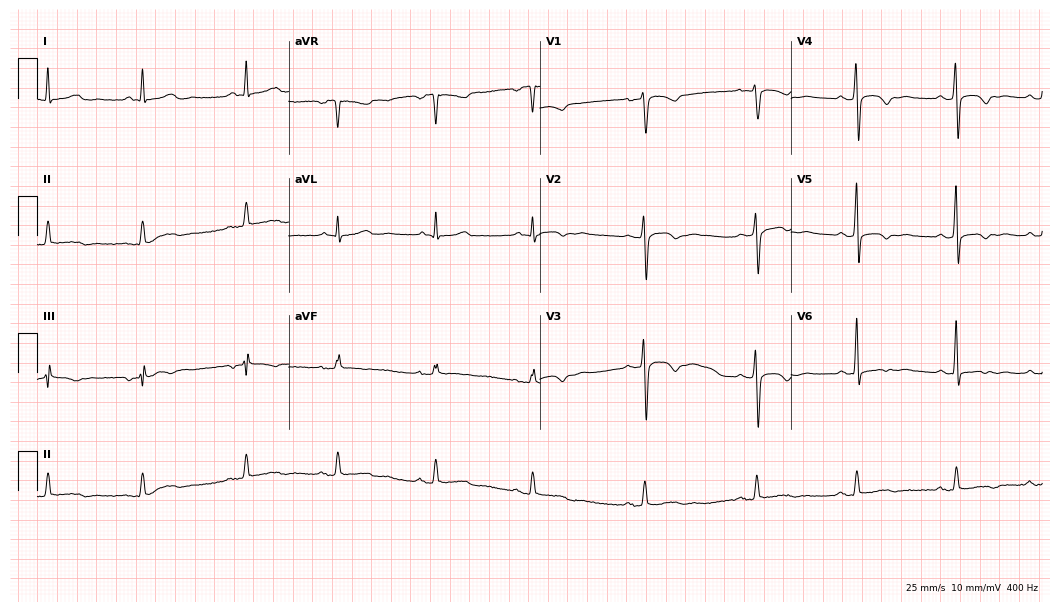
12-lead ECG from a woman, 54 years old (10.2-second recording at 400 Hz). No first-degree AV block, right bundle branch block (RBBB), left bundle branch block (LBBB), sinus bradycardia, atrial fibrillation (AF) or sinus tachycardia recorded for this tracing.